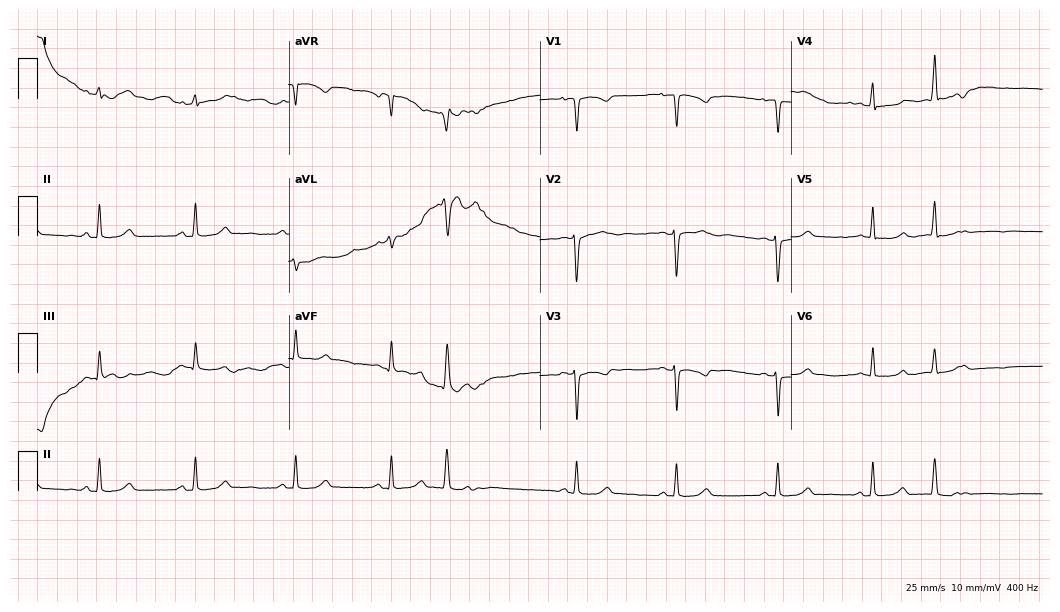
Electrocardiogram, a 17-year-old woman. Overall reading on record: normal ECG.